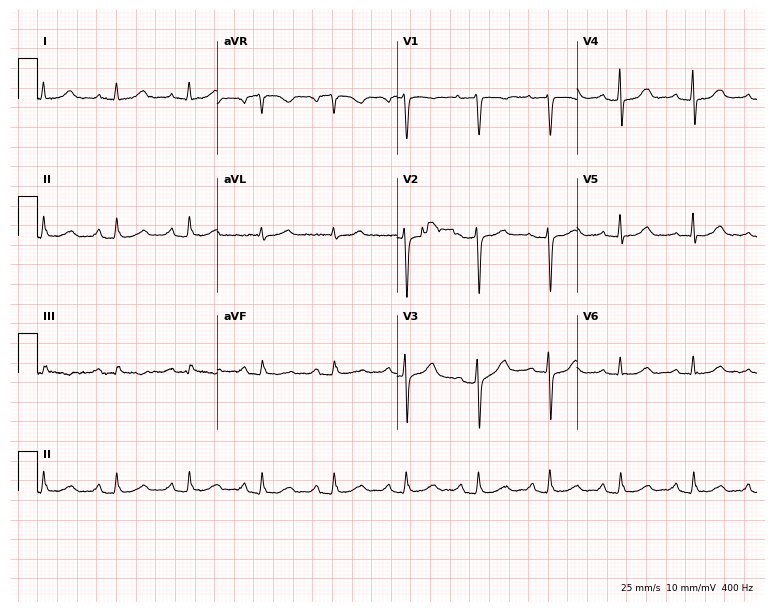
12-lead ECG from a 66-year-old female (7.3-second recording at 400 Hz). Recorded interpretation: within normal limits.